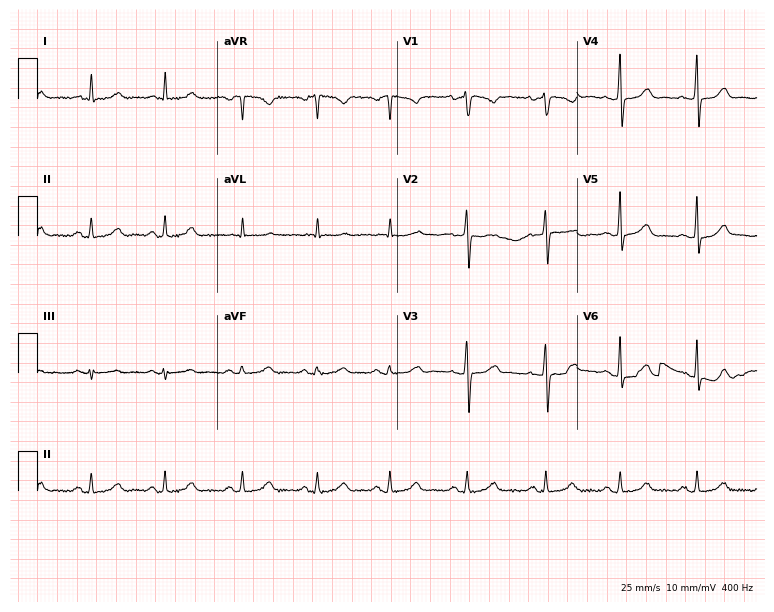
Resting 12-lead electrocardiogram (7.3-second recording at 400 Hz). Patient: a woman, 39 years old. None of these six findings is recorded: first-degree AV block, right bundle branch block, left bundle branch block, sinus bradycardia, atrial fibrillation, sinus tachycardia.